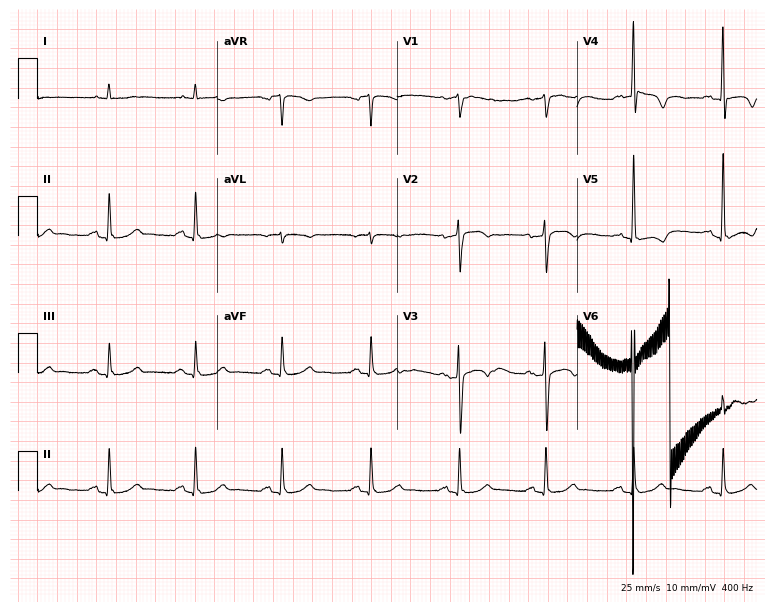
12-lead ECG (7.3-second recording at 400 Hz) from a male patient, 82 years old. Screened for six findings — first-degree AV block, right bundle branch block, left bundle branch block, sinus bradycardia, atrial fibrillation, sinus tachycardia — none is recorded. Other findings, if any, are not listed.